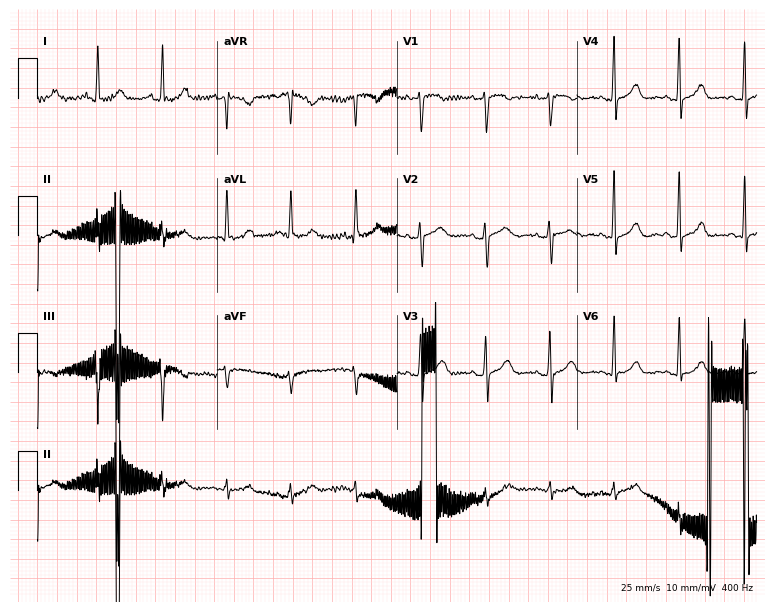
12-lead ECG from a female, 57 years old (7.3-second recording at 400 Hz). Recorded interpretation: within normal limits.